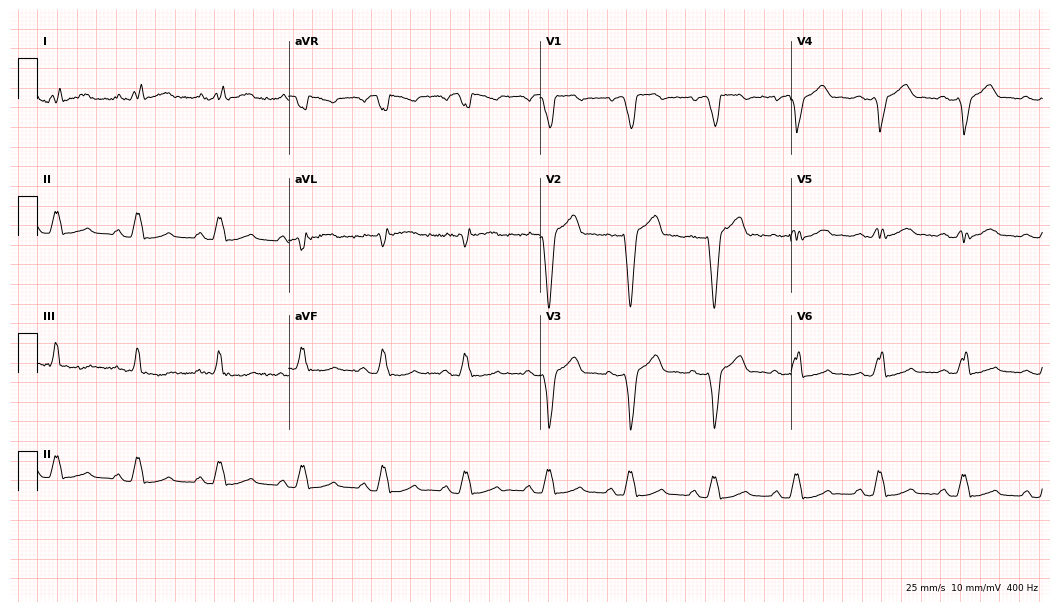
Standard 12-lead ECG recorded from a 43-year-old female (10.2-second recording at 400 Hz). The tracing shows left bundle branch block.